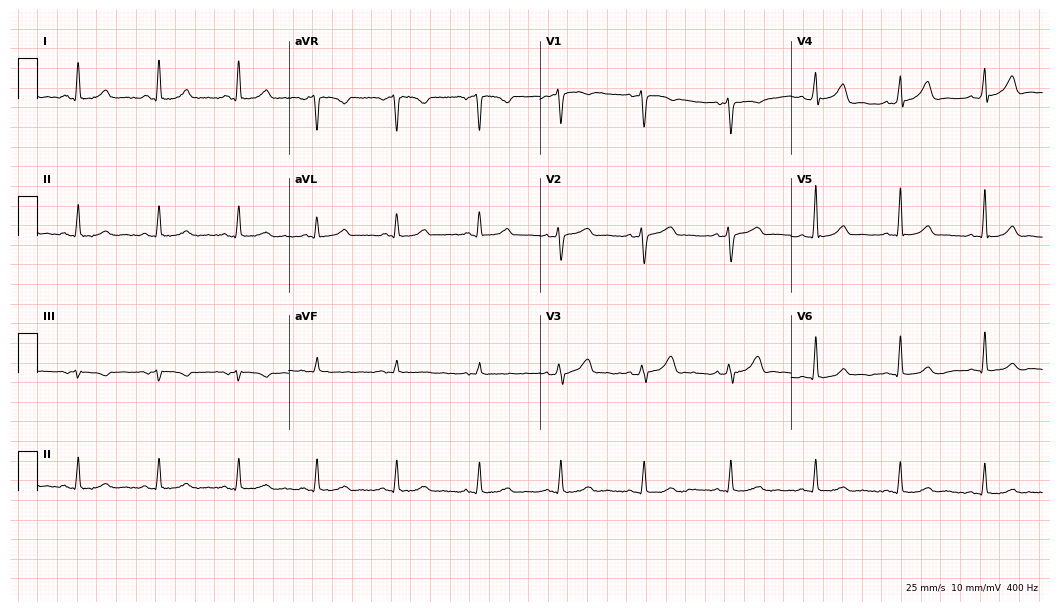
Resting 12-lead electrocardiogram (10.2-second recording at 400 Hz). Patient: a 38-year-old female. Read as a normal ECG.